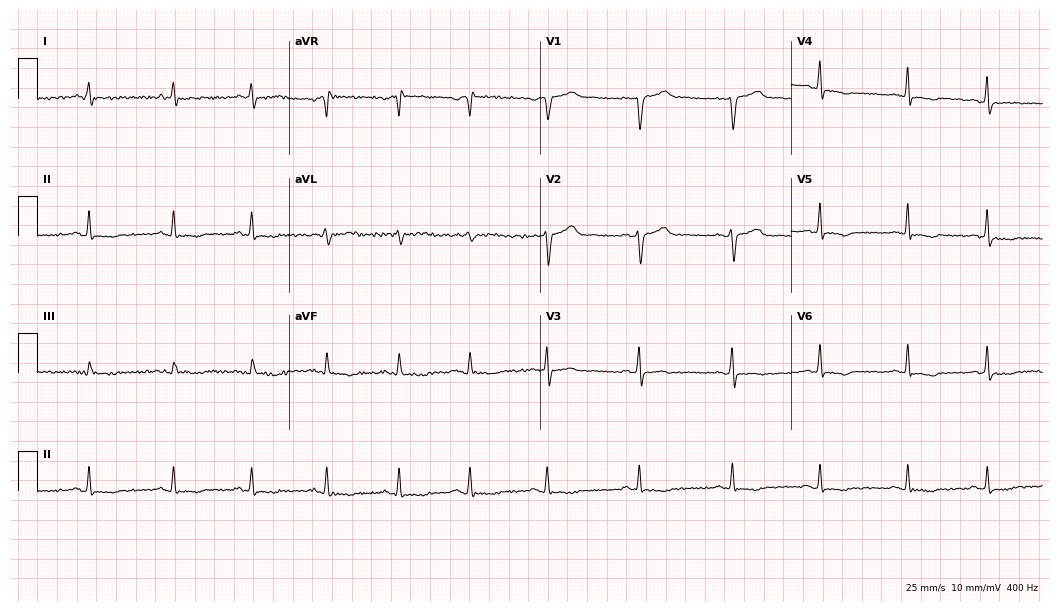
ECG (10.2-second recording at 400 Hz) — a 33-year-old male patient. Screened for six findings — first-degree AV block, right bundle branch block, left bundle branch block, sinus bradycardia, atrial fibrillation, sinus tachycardia — none is recorded. Other findings, if any, are not listed.